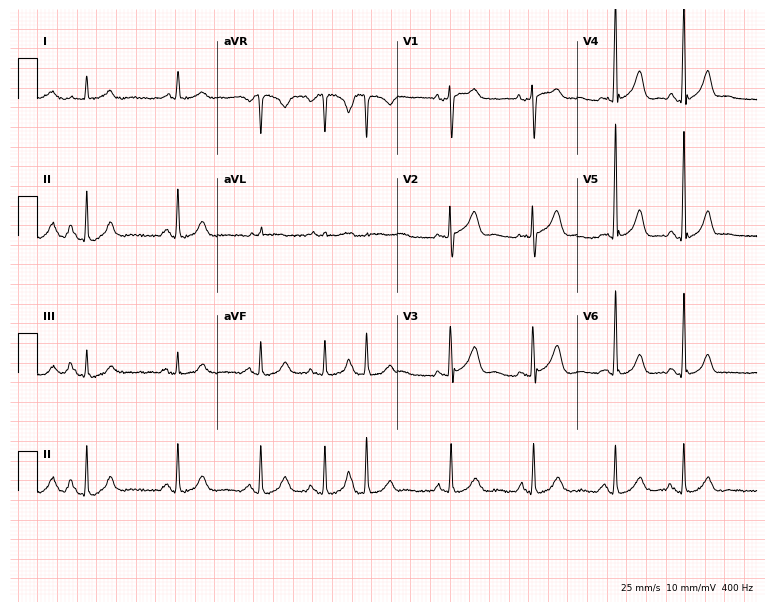
12-lead ECG from a 56-year-old female. No first-degree AV block, right bundle branch block, left bundle branch block, sinus bradycardia, atrial fibrillation or sinus tachycardia recorded for this tracing.